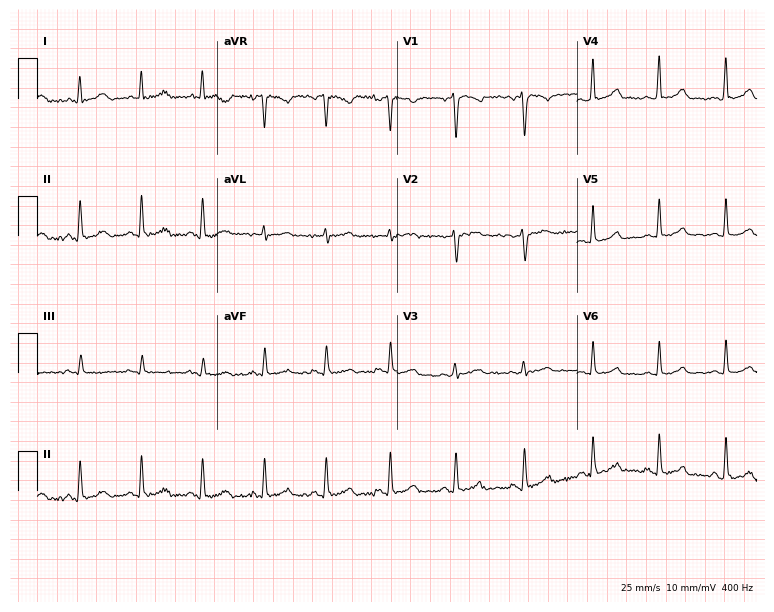
Electrocardiogram (7.3-second recording at 400 Hz), a 33-year-old female. Of the six screened findings (first-degree AV block, right bundle branch block, left bundle branch block, sinus bradycardia, atrial fibrillation, sinus tachycardia), none is recorded.